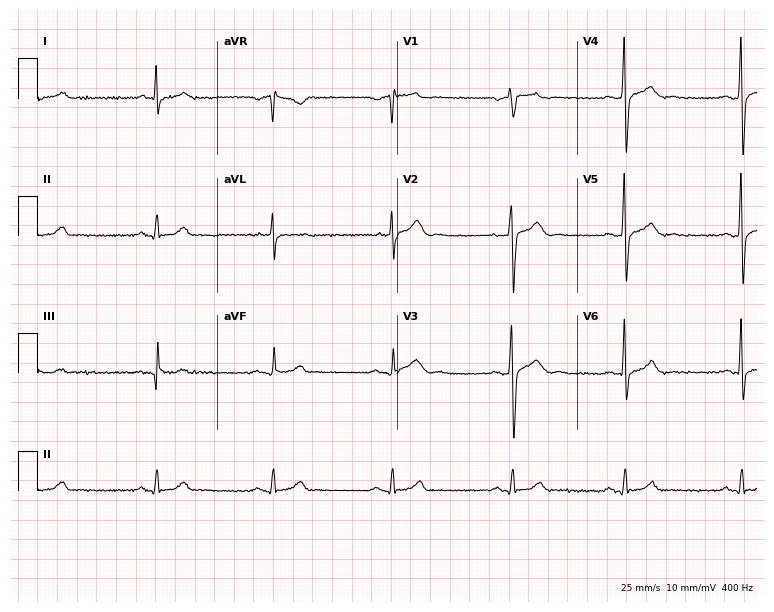
Electrocardiogram, a 45-year-old man. Of the six screened findings (first-degree AV block, right bundle branch block, left bundle branch block, sinus bradycardia, atrial fibrillation, sinus tachycardia), none is recorded. Only these six findings were labelled.